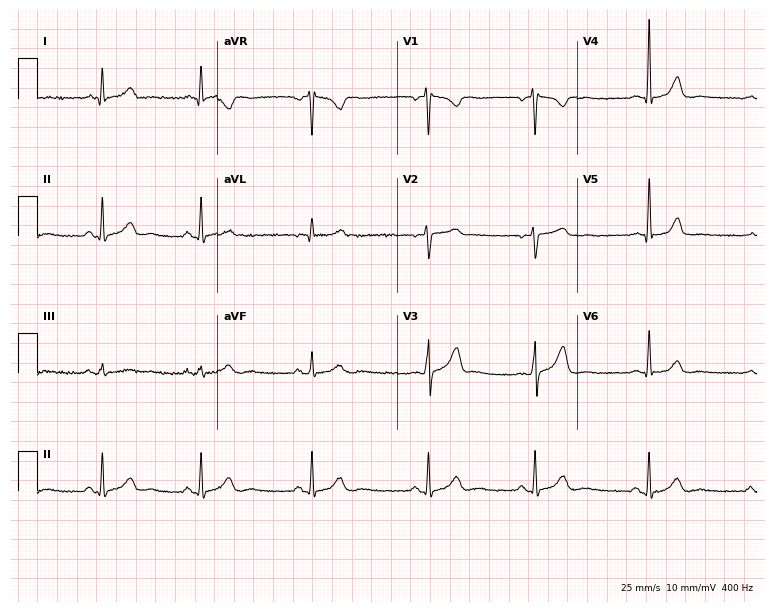
ECG (7.3-second recording at 400 Hz) — a woman, 39 years old. Screened for six findings — first-degree AV block, right bundle branch block (RBBB), left bundle branch block (LBBB), sinus bradycardia, atrial fibrillation (AF), sinus tachycardia — none is recorded. Findings outside these six are not listed.